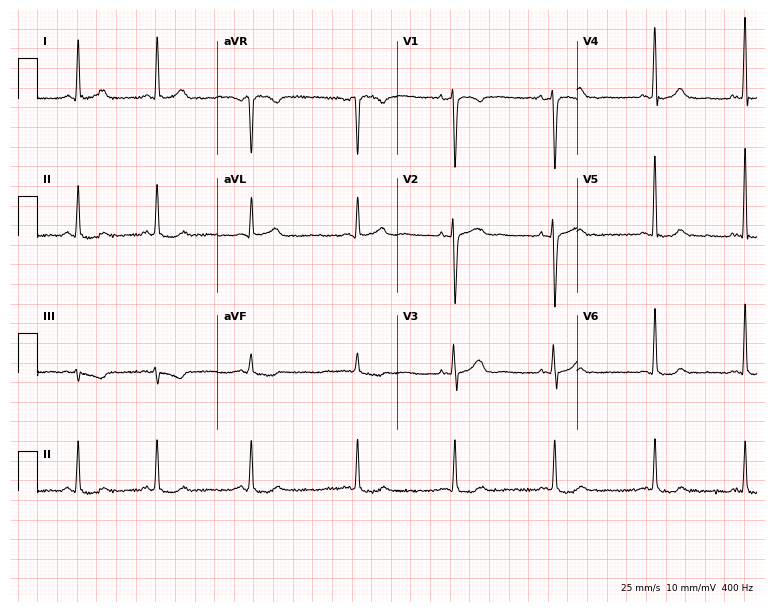
Standard 12-lead ECG recorded from a 45-year-old female (7.3-second recording at 400 Hz). None of these six findings is recorded: first-degree AV block, right bundle branch block (RBBB), left bundle branch block (LBBB), sinus bradycardia, atrial fibrillation (AF), sinus tachycardia.